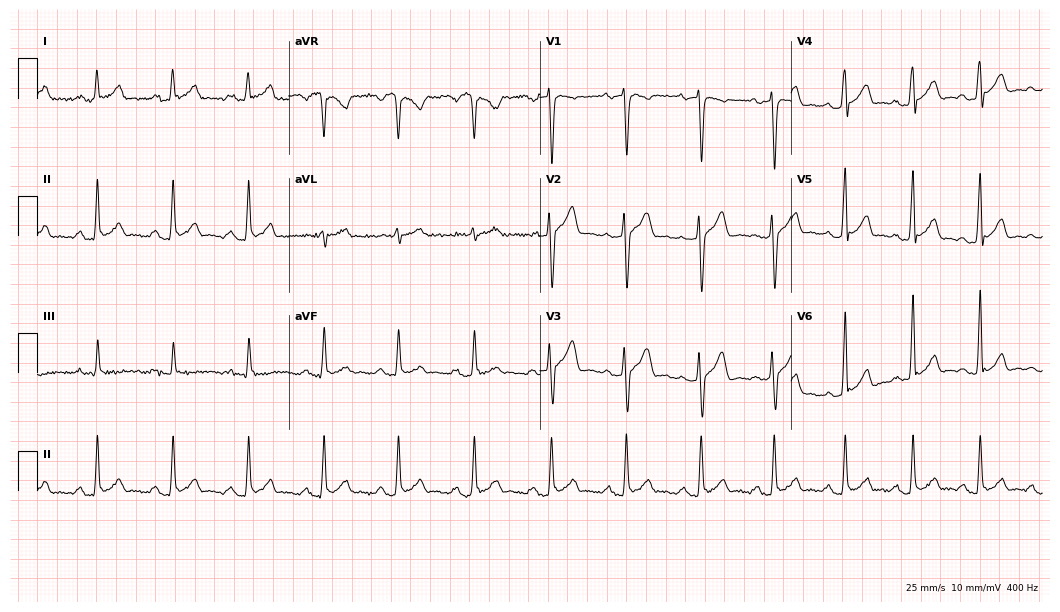
12-lead ECG from a 52-year-old male patient (10.2-second recording at 400 Hz). Recorded interpretation: within normal limits.